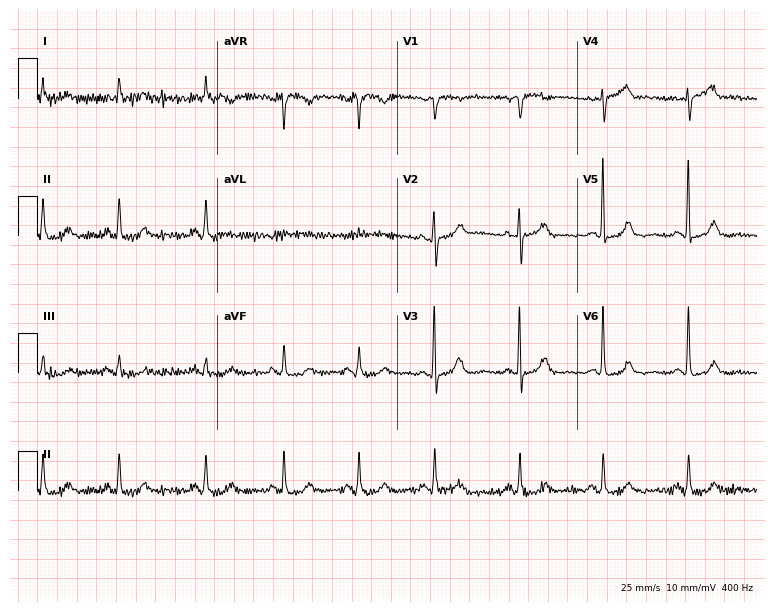
12-lead ECG from an 82-year-old female patient. Labelled as a normal ECG.